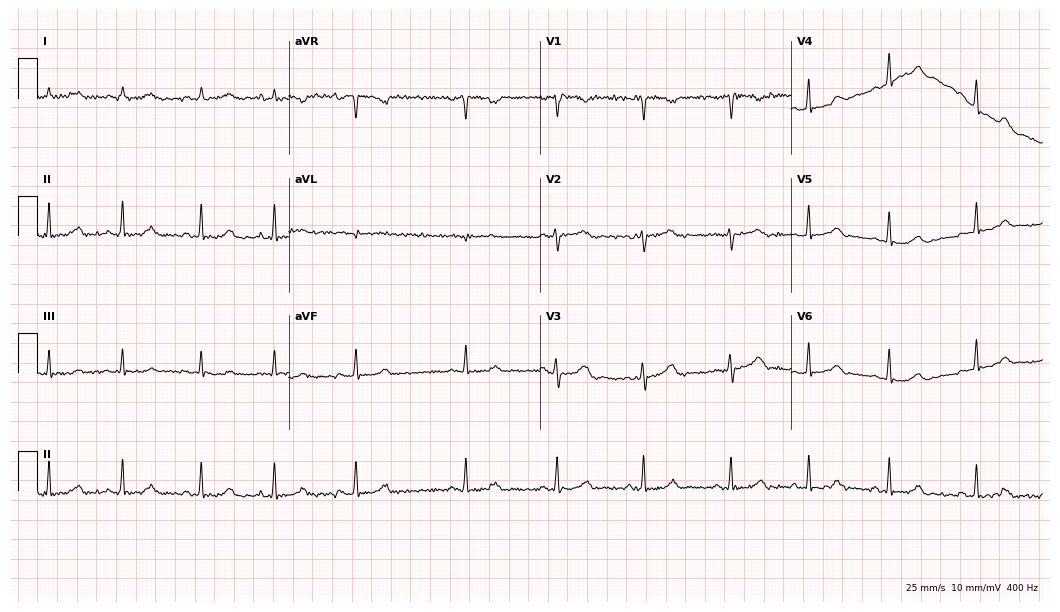
ECG — a 30-year-old female. Screened for six findings — first-degree AV block, right bundle branch block, left bundle branch block, sinus bradycardia, atrial fibrillation, sinus tachycardia — none is recorded.